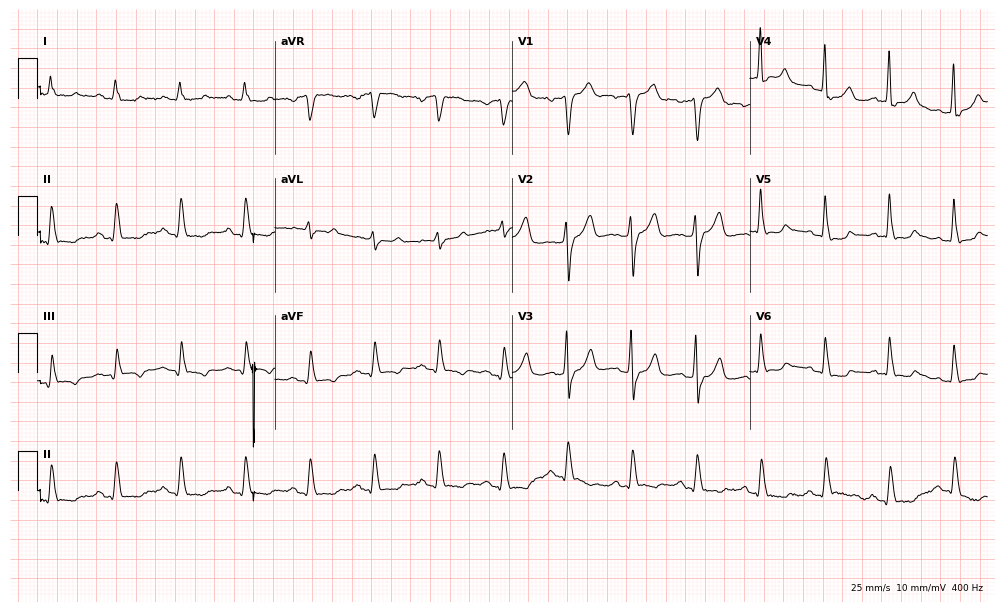
Electrocardiogram, a 74-year-old male patient. Interpretation includes left bundle branch block.